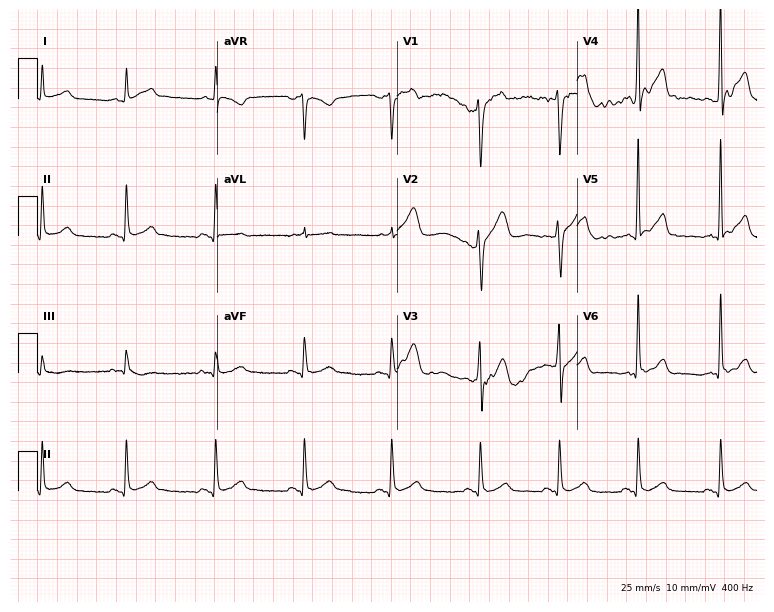
Resting 12-lead electrocardiogram. Patient: a 44-year-old male. Read as a normal ECG.